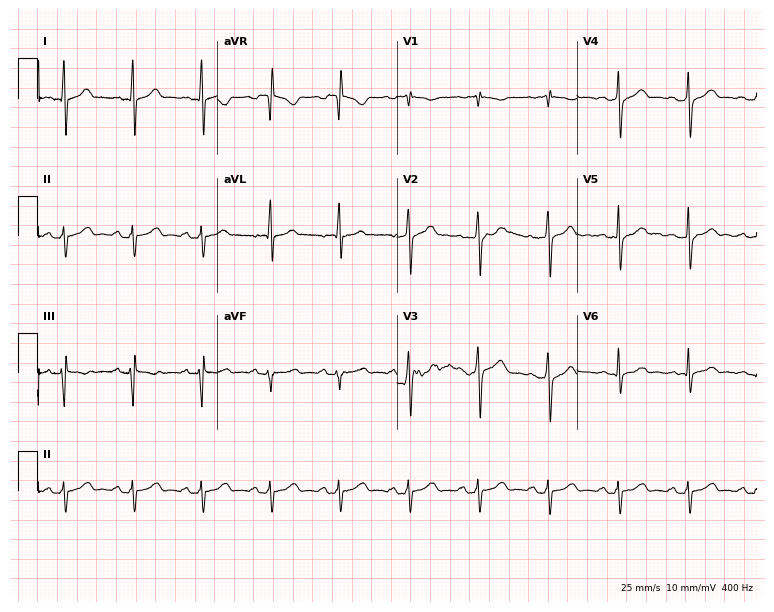
Electrocardiogram, a 60-year-old male. Of the six screened findings (first-degree AV block, right bundle branch block, left bundle branch block, sinus bradycardia, atrial fibrillation, sinus tachycardia), none is recorded.